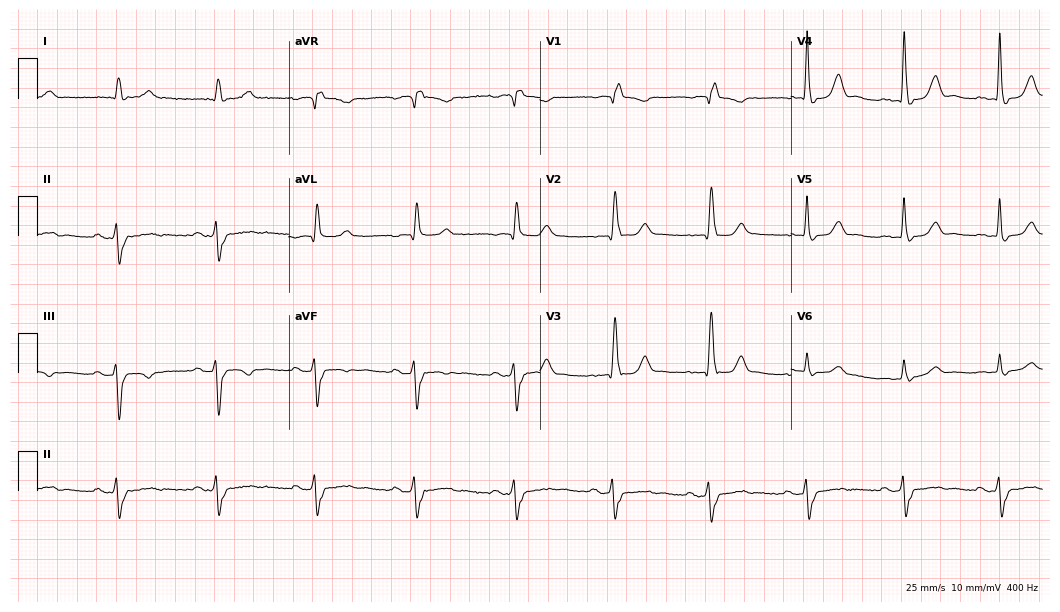
ECG — an 89-year-old male. Findings include right bundle branch block.